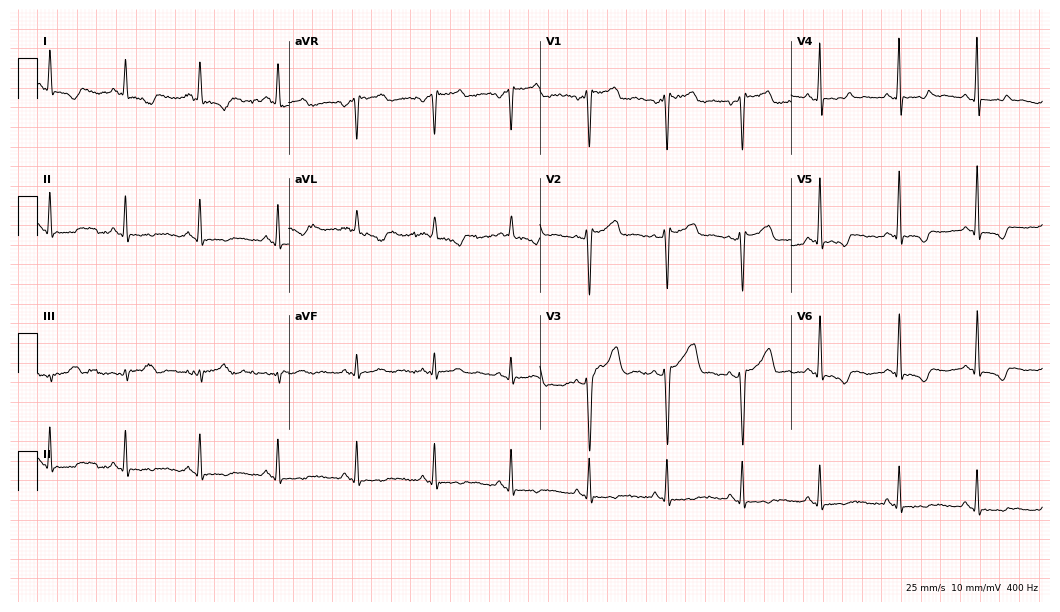
Electrocardiogram, a 34-year-old female patient. Of the six screened findings (first-degree AV block, right bundle branch block, left bundle branch block, sinus bradycardia, atrial fibrillation, sinus tachycardia), none is recorded. Other findings, if any, are not listed.